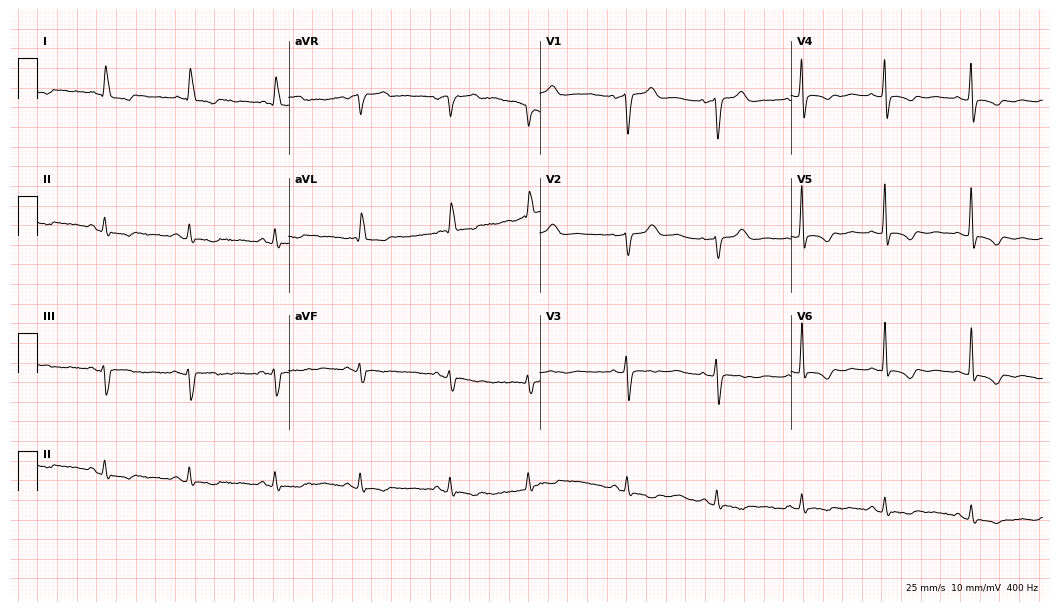
12-lead ECG (10.2-second recording at 400 Hz) from a female, 84 years old. Screened for six findings — first-degree AV block, right bundle branch block (RBBB), left bundle branch block (LBBB), sinus bradycardia, atrial fibrillation (AF), sinus tachycardia — none is recorded. Other findings, if any, are not listed.